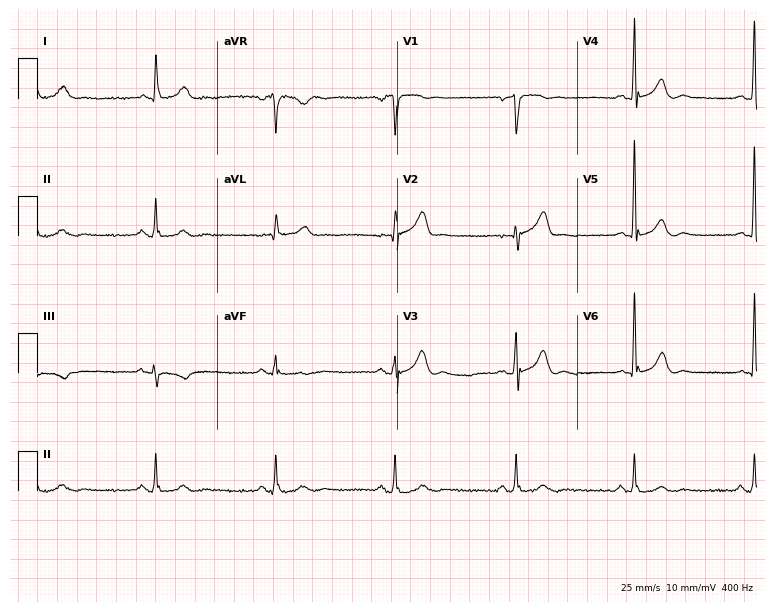
Standard 12-lead ECG recorded from a male, 65 years old. The tracing shows sinus bradycardia (a sinus rate of 50 beats per minute or less).